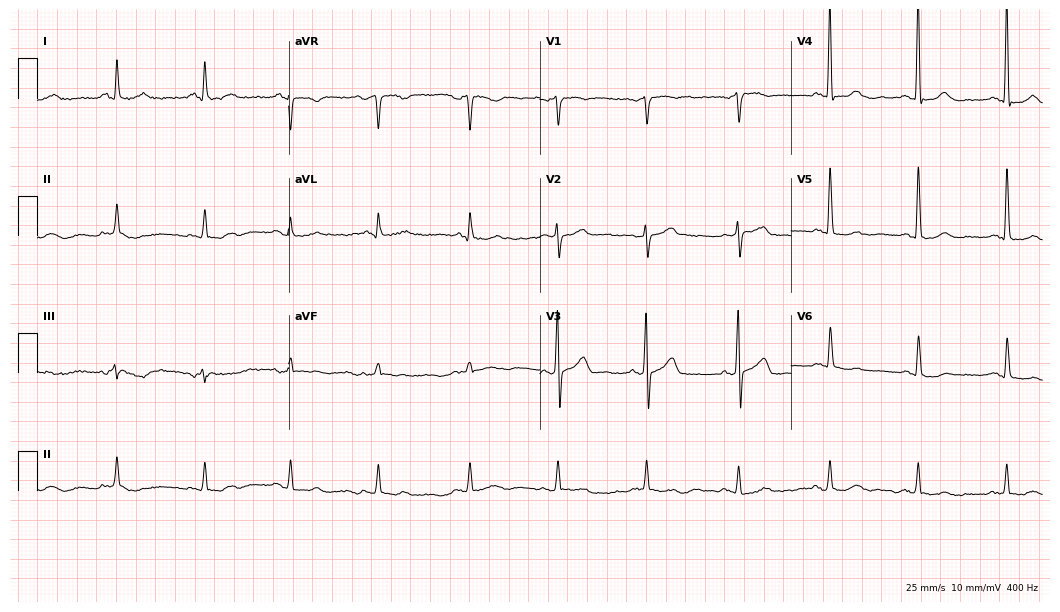
Standard 12-lead ECG recorded from a 71-year-old male (10.2-second recording at 400 Hz). None of these six findings is recorded: first-degree AV block, right bundle branch block, left bundle branch block, sinus bradycardia, atrial fibrillation, sinus tachycardia.